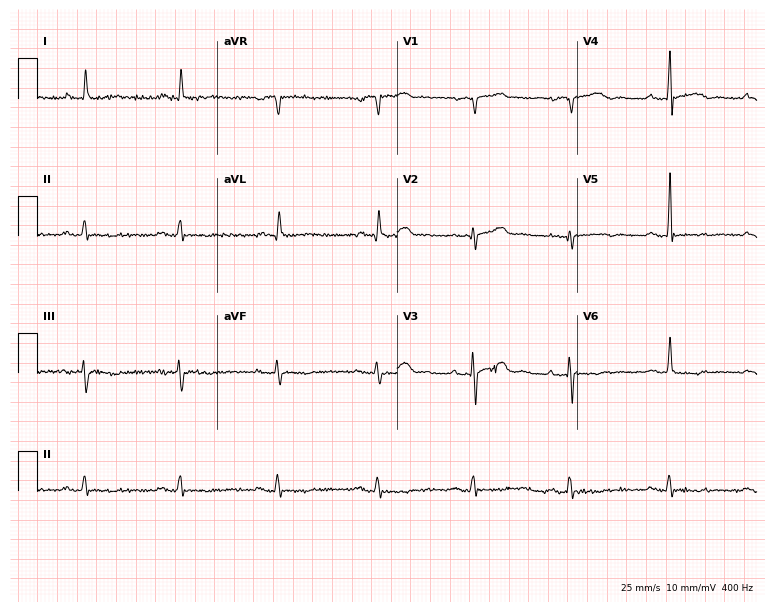
ECG — a 73-year-old man. Screened for six findings — first-degree AV block, right bundle branch block, left bundle branch block, sinus bradycardia, atrial fibrillation, sinus tachycardia — none is recorded.